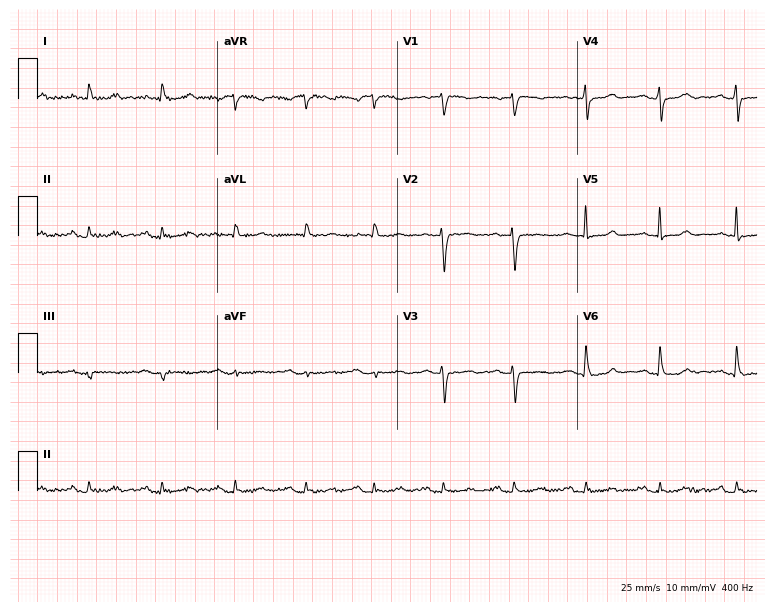
Resting 12-lead electrocardiogram (7.3-second recording at 400 Hz). Patient: a man, 75 years old. None of these six findings is recorded: first-degree AV block, right bundle branch block, left bundle branch block, sinus bradycardia, atrial fibrillation, sinus tachycardia.